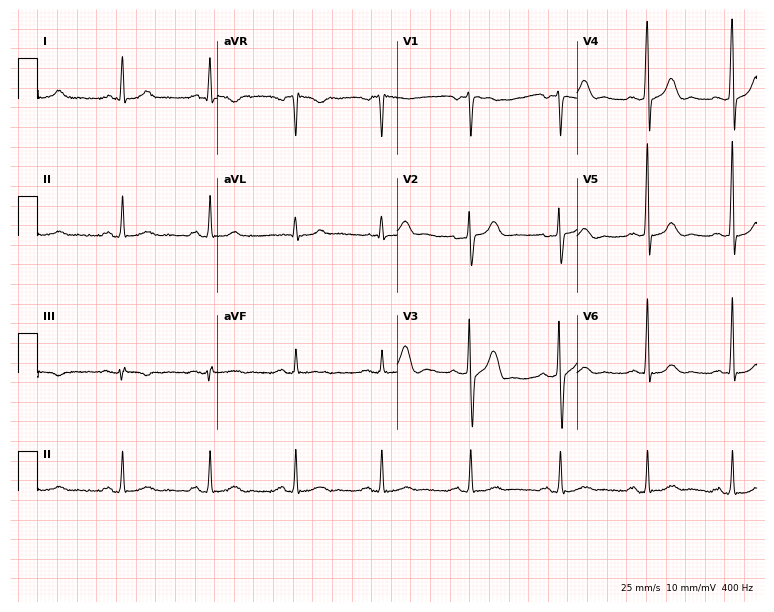
ECG (7.3-second recording at 400 Hz) — a 51-year-old male. Screened for six findings — first-degree AV block, right bundle branch block (RBBB), left bundle branch block (LBBB), sinus bradycardia, atrial fibrillation (AF), sinus tachycardia — none is recorded. Findings outside these six are not listed.